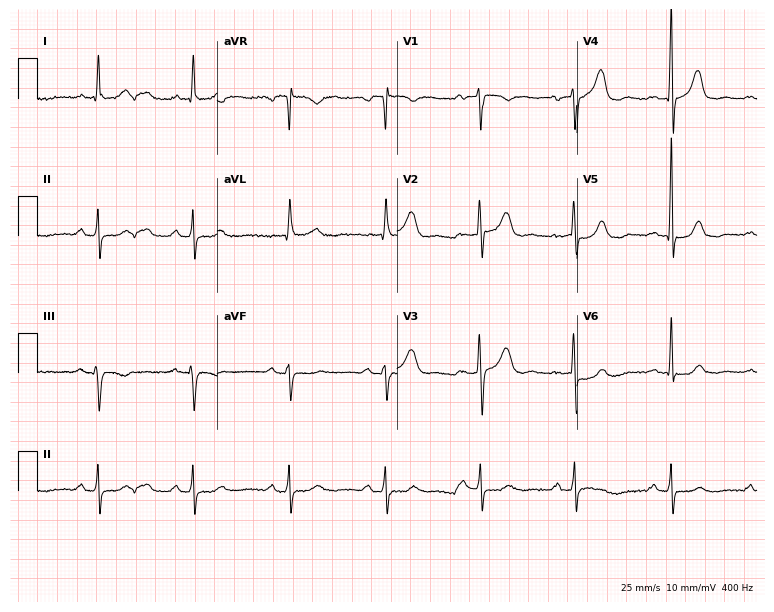
12-lead ECG (7.3-second recording at 400 Hz) from a 67-year-old woman. Labelled as a normal ECG.